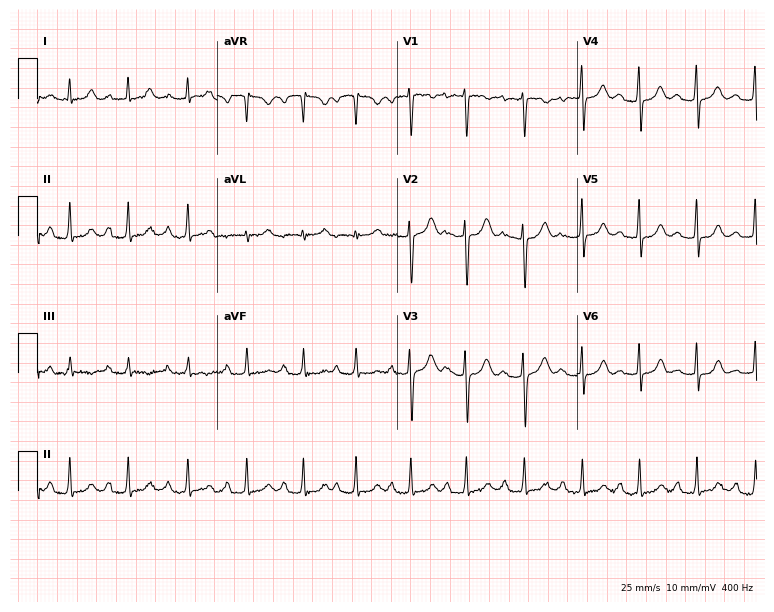
12-lead ECG from a female, 22 years old. No first-degree AV block, right bundle branch block, left bundle branch block, sinus bradycardia, atrial fibrillation or sinus tachycardia recorded for this tracing. Other findings, if any, are not listed.